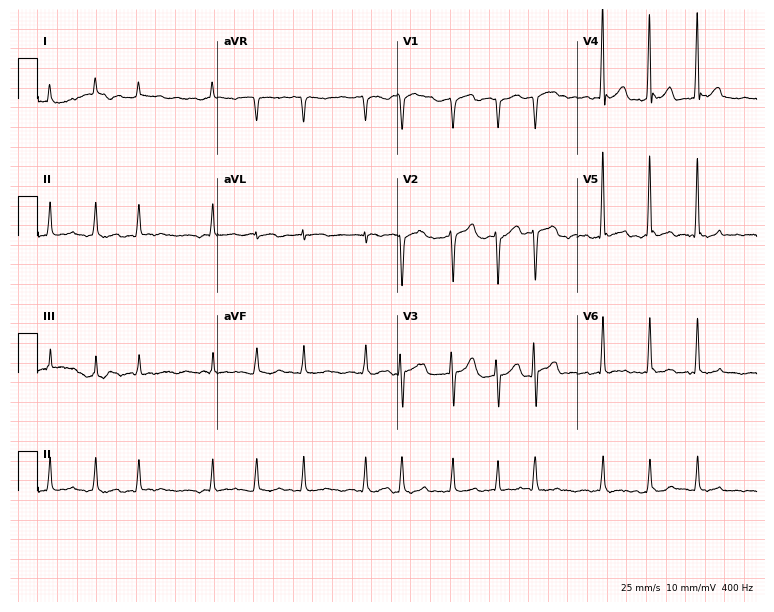
ECG — a 79-year-old female patient. Findings include atrial fibrillation.